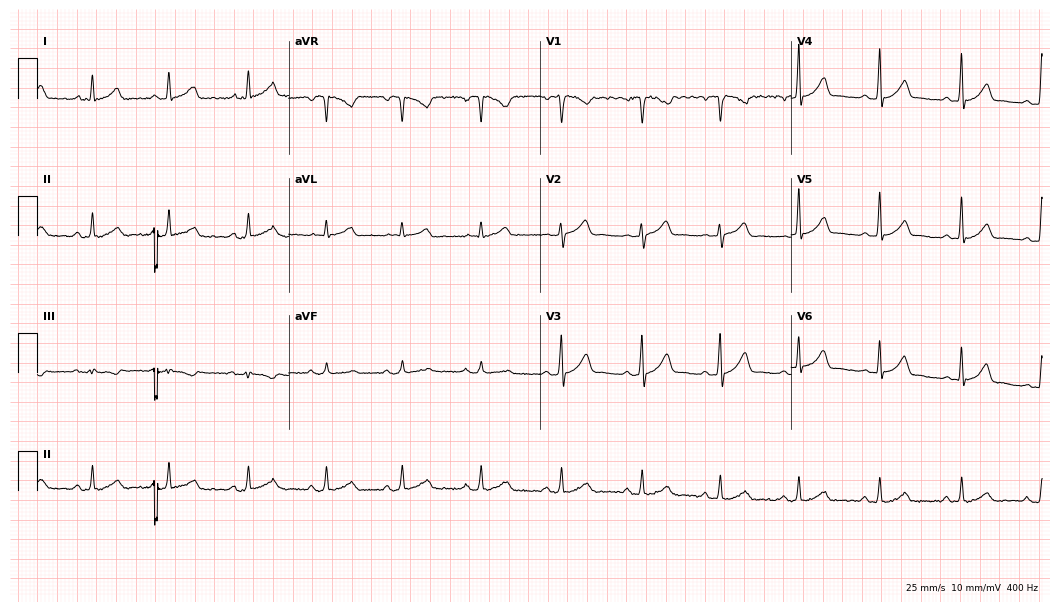
Resting 12-lead electrocardiogram. Patient: a 39-year-old female. None of these six findings is recorded: first-degree AV block, right bundle branch block, left bundle branch block, sinus bradycardia, atrial fibrillation, sinus tachycardia. Findings outside these six are not listed.